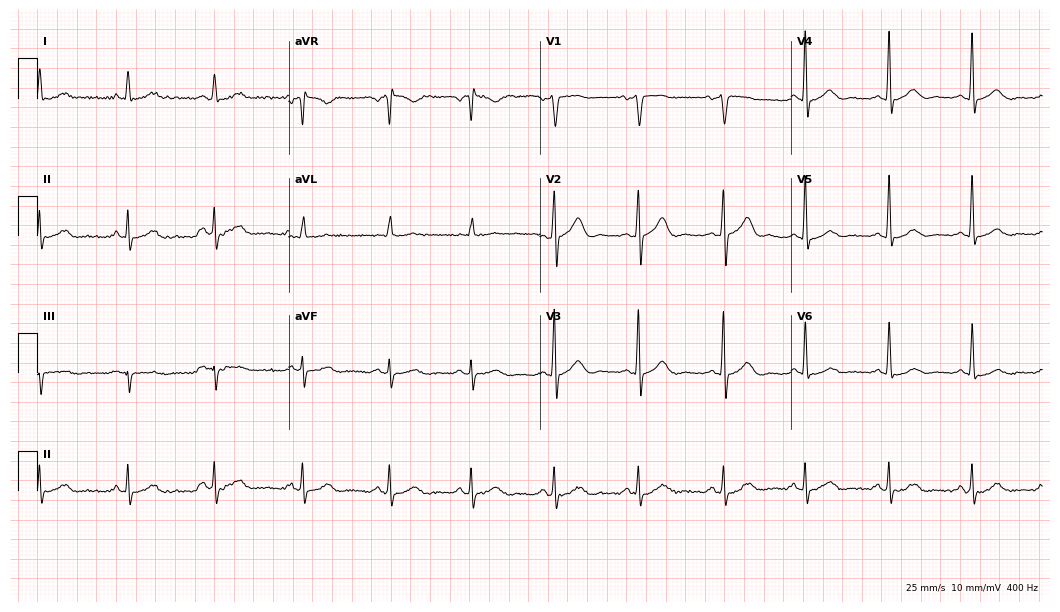
12-lead ECG from a 54-year-old male patient. No first-degree AV block, right bundle branch block, left bundle branch block, sinus bradycardia, atrial fibrillation or sinus tachycardia recorded for this tracing. Other findings, if any, are not listed.